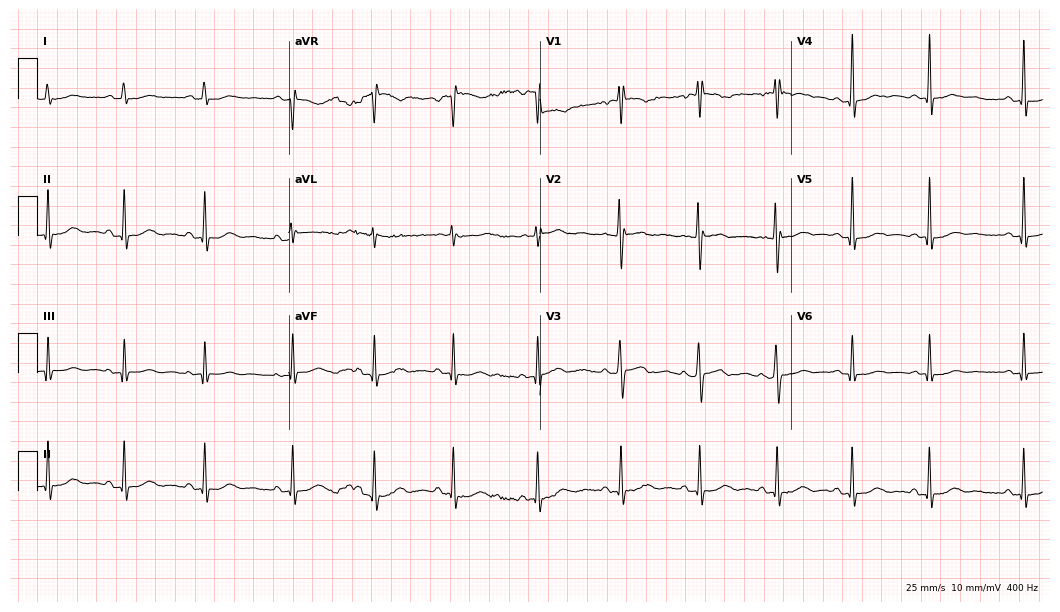
12-lead ECG from a 17-year-old woman (10.2-second recording at 400 Hz). No first-degree AV block, right bundle branch block (RBBB), left bundle branch block (LBBB), sinus bradycardia, atrial fibrillation (AF) or sinus tachycardia recorded for this tracing.